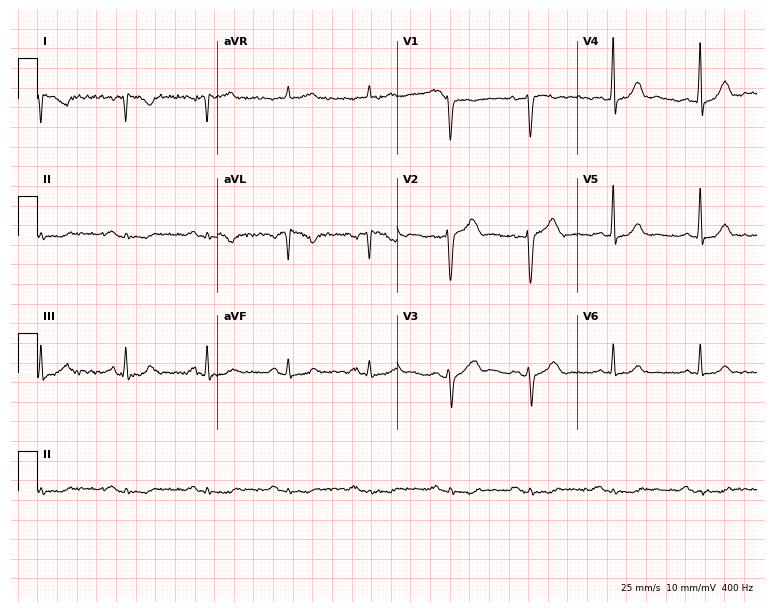
Resting 12-lead electrocardiogram. Patient: a woman, 46 years old. None of these six findings is recorded: first-degree AV block, right bundle branch block, left bundle branch block, sinus bradycardia, atrial fibrillation, sinus tachycardia. Only these six findings were labelled.